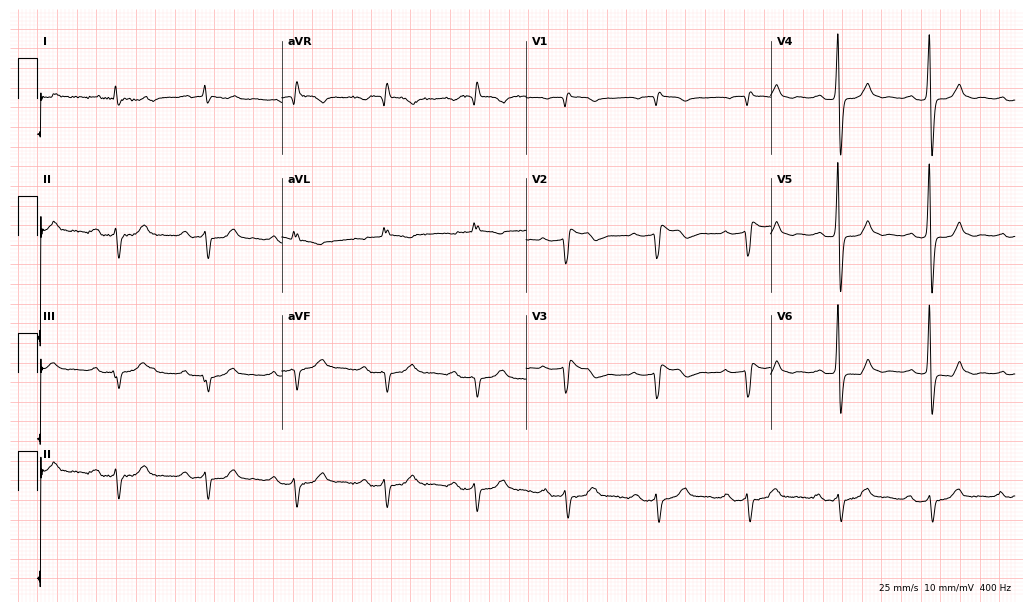
Electrocardiogram, a 78-year-old woman. Interpretation includes first-degree AV block, right bundle branch block.